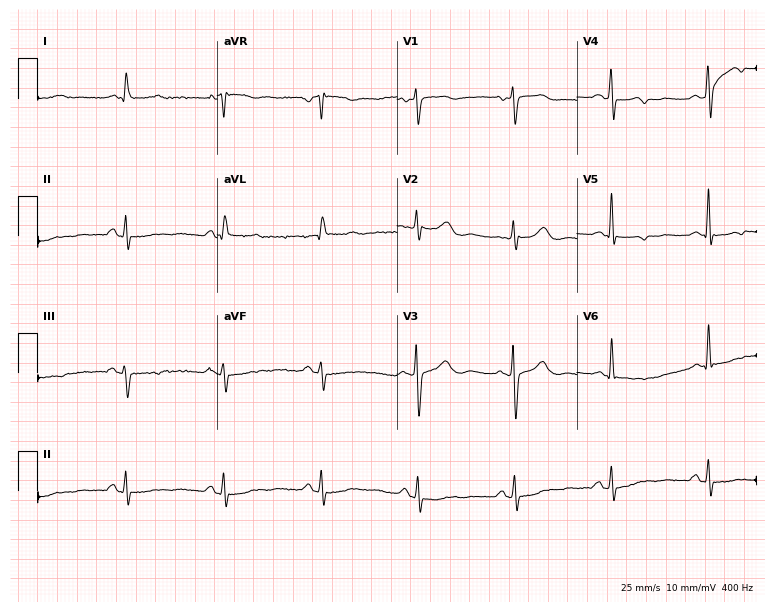
Standard 12-lead ECG recorded from a 65-year-old female. None of these six findings is recorded: first-degree AV block, right bundle branch block (RBBB), left bundle branch block (LBBB), sinus bradycardia, atrial fibrillation (AF), sinus tachycardia.